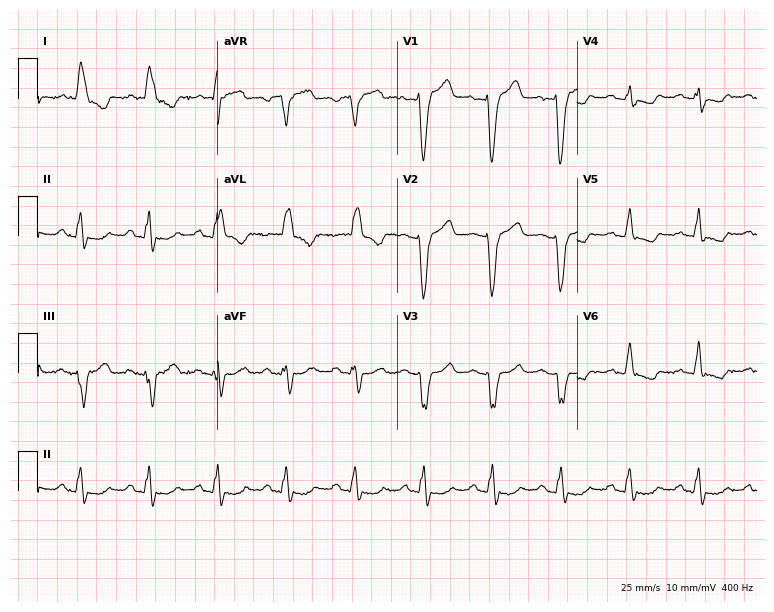
ECG (7.3-second recording at 400 Hz) — a 68-year-old female. Findings include left bundle branch block.